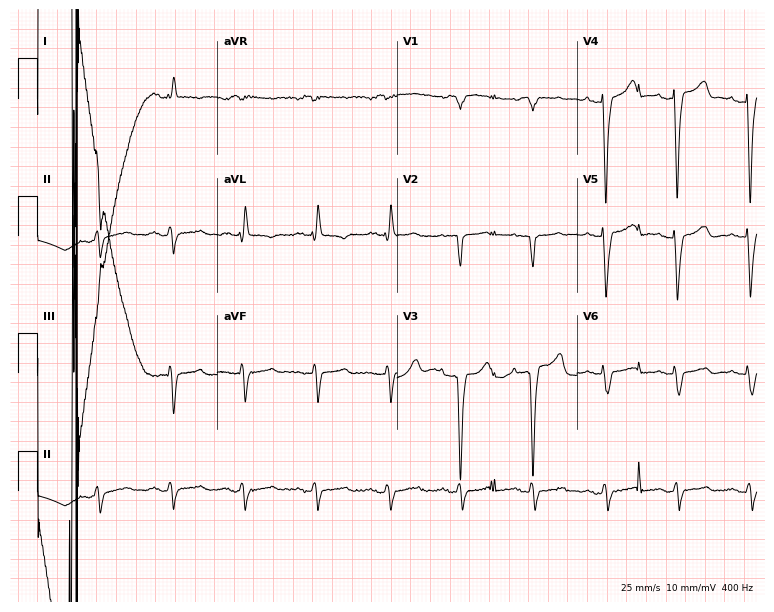
12-lead ECG from a 56-year-old female. No first-degree AV block, right bundle branch block, left bundle branch block, sinus bradycardia, atrial fibrillation or sinus tachycardia recorded for this tracing. Findings outside these six are not listed.